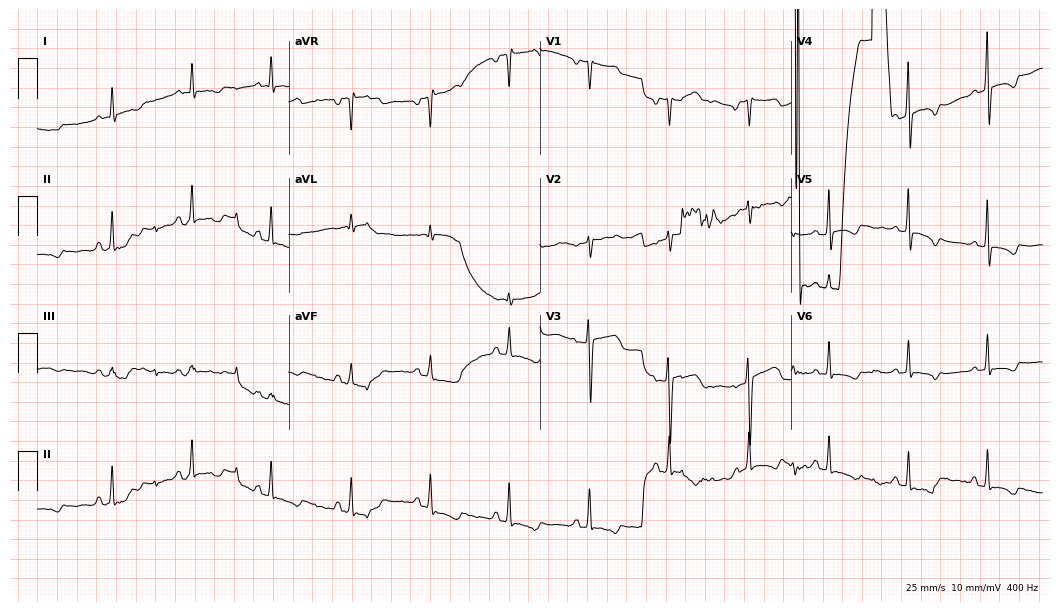
Resting 12-lead electrocardiogram (10.2-second recording at 400 Hz). Patient: a 66-year-old female. The tracing shows atrial fibrillation.